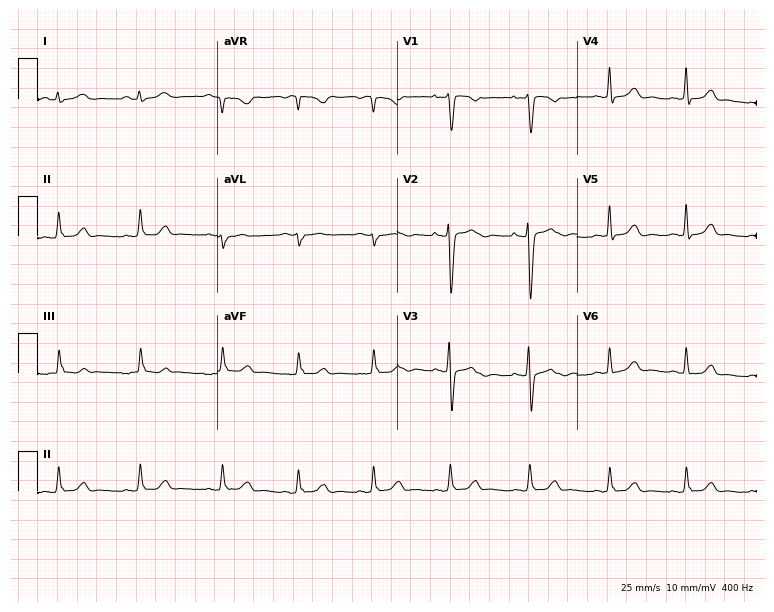
Electrocardiogram, a 41-year-old female patient. Of the six screened findings (first-degree AV block, right bundle branch block (RBBB), left bundle branch block (LBBB), sinus bradycardia, atrial fibrillation (AF), sinus tachycardia), none is recorded. Findings outside these six are not listed.